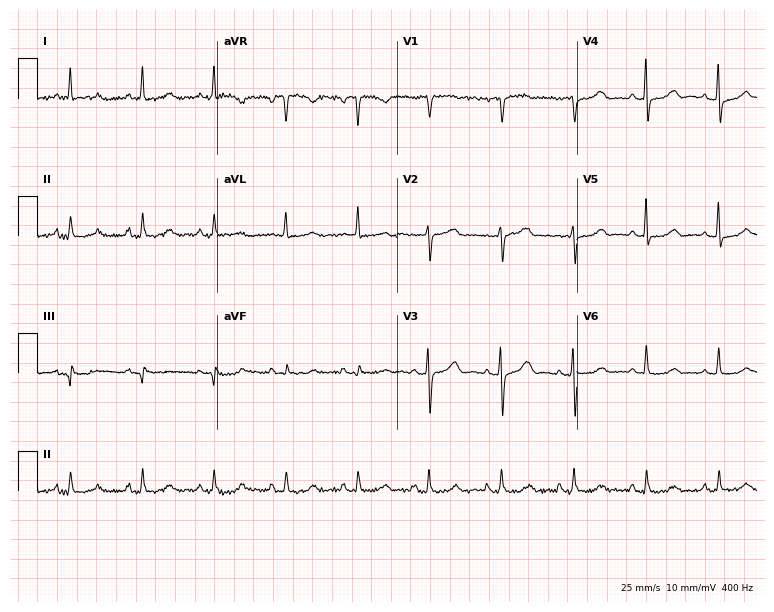
Standard 12-lead ECG recorded from a female, 72 years old. None of these six findings is recorded: first-degree AV block, right bundle branch block (RBBB), left bundle branch block (LBBB), sinus bradycardia, atrial fibrillation (AF), sinus tachycardia.